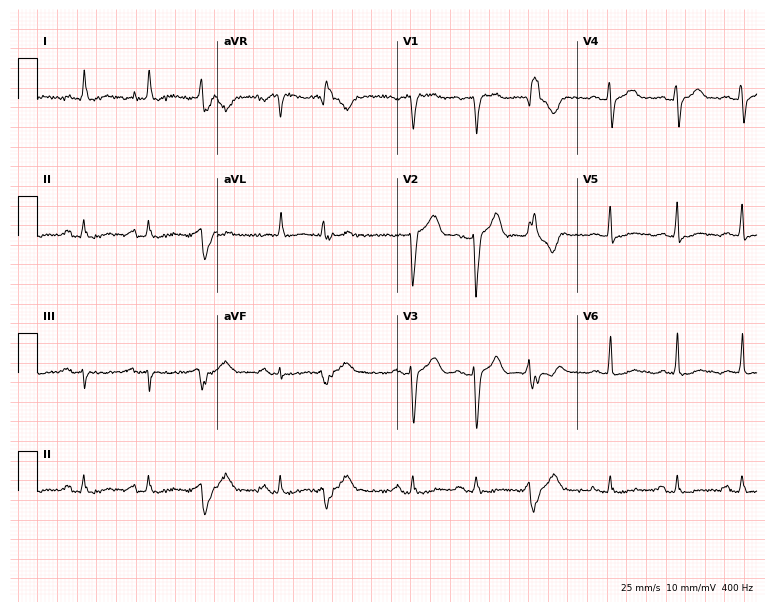
ECG — a male patient, 77 years old. Screened for six findings — first-degree AV block, right bundle branch block, left bundle branch block, sinus bradycardia, atrial fibrillation, sinus tachycardia — none is recorded. Findings outside these six are not listed.